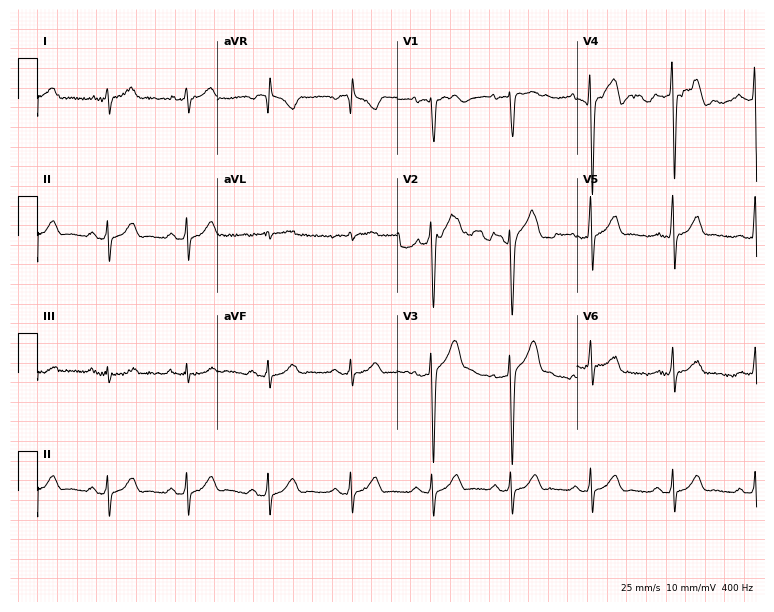
12-lead ECG from a male, 36 years old. Screened for six findings — first-degree AV block, right bundle branch block, left bundle branch block, sinus bradycardia, atrial fibrillation, sinus tachycardia — none is recorded.